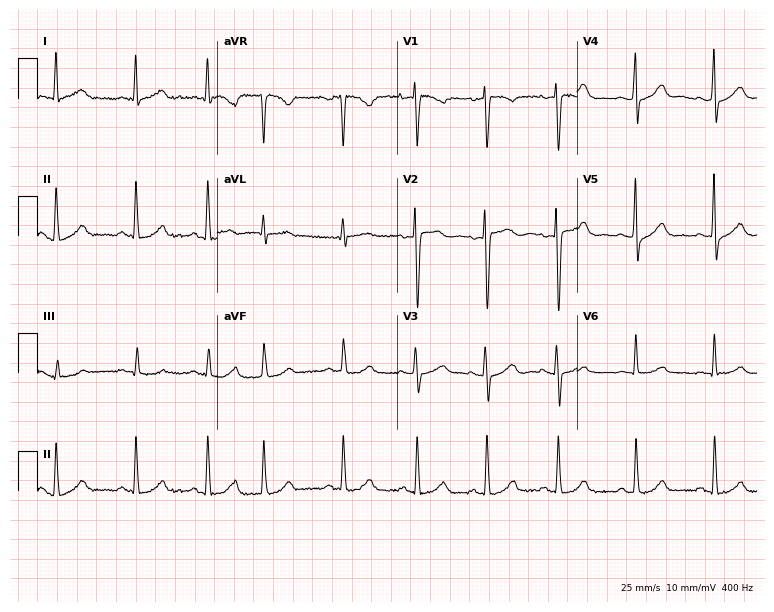
12-lead ECG (7.3-second recording at 400 Hz) from a 31-year-old female patient. Screened for six findings — first-degree AV block, right bundle branch block, left bundle branch block, sinus bradycardia, atrial fibrillation, sinus tachycardia — none is recorded. Findings outside these six are not listed.